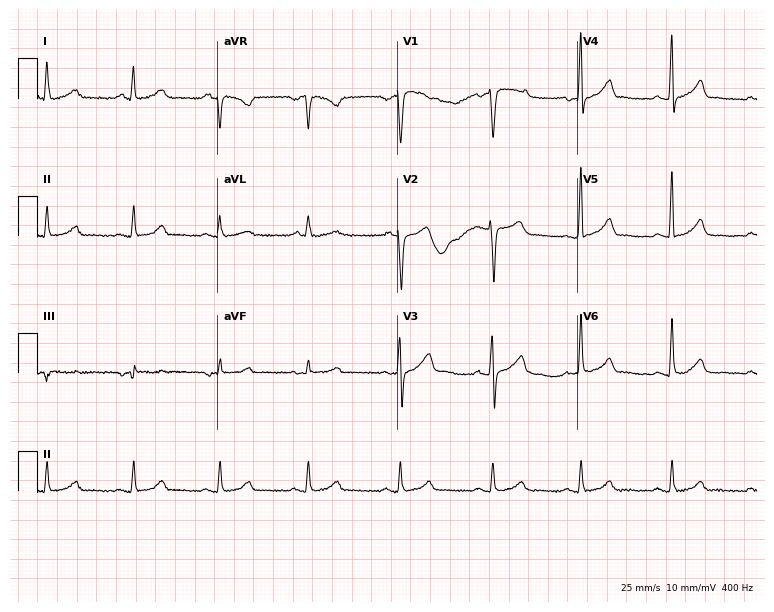
12-lead ECG from a 59-year-old male patient. Labelled as a normal ECG.